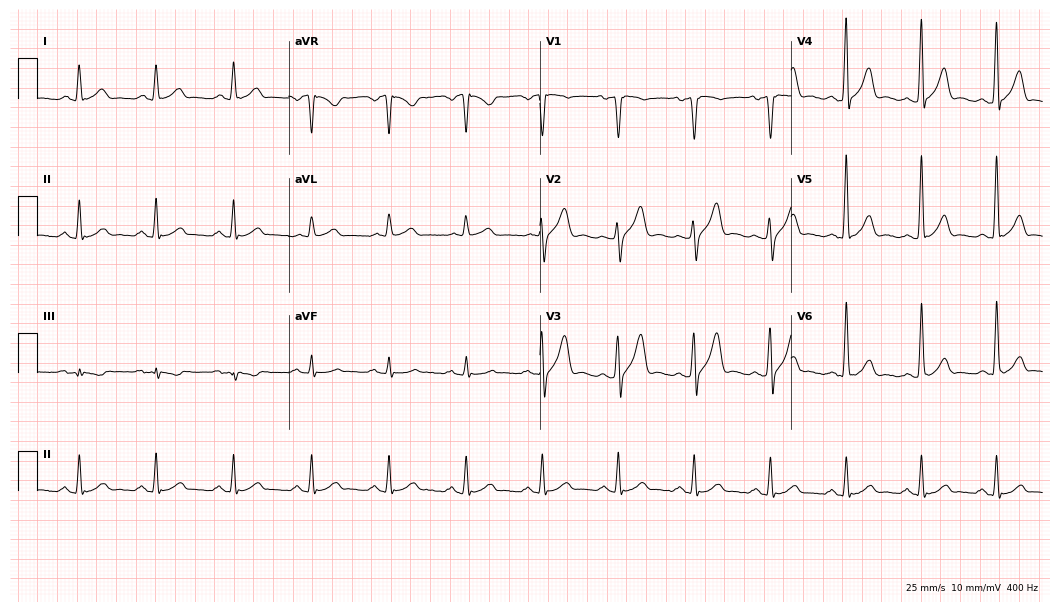
ECG (10.2-second recording at 400 Hz) — a 50-year-old man. Labelled as a normal ECG.